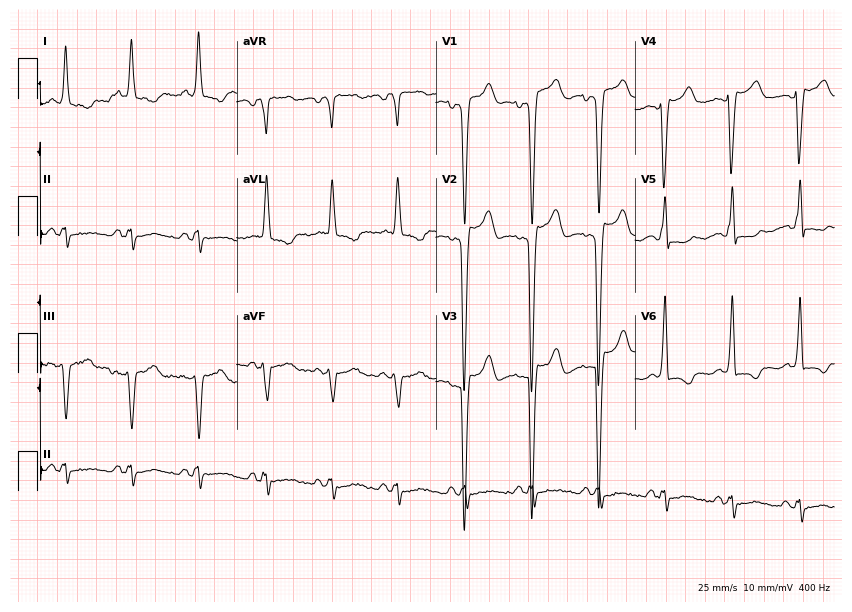
12-lead ECG from a woman, 81 years old. Recorded interpretation: within normal limits.